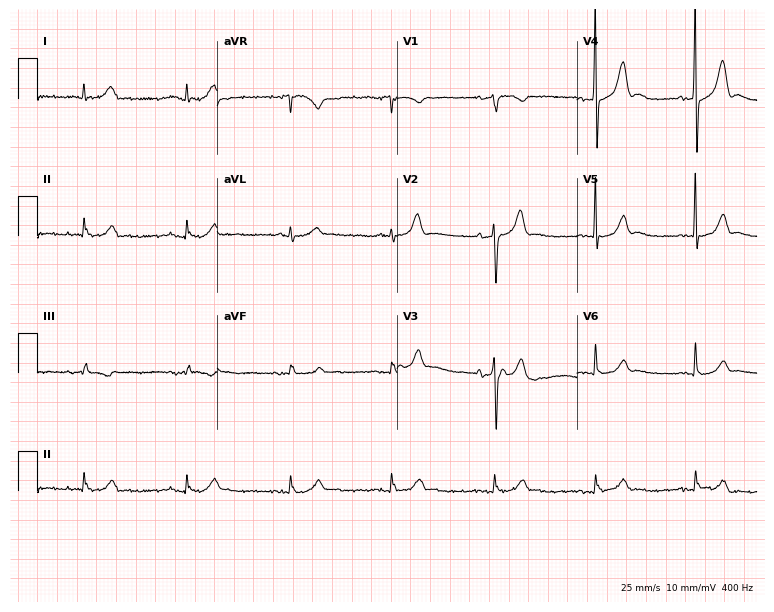
Electrocardiogram (7.3-second recording at 400 Hz), a male patient, 72 years old. Of the six screened findings (first-degree AV block, right bundle branch block, left bundle branch block, sinus bradycardia, atrial fibrillation, sinus tachycardia), none is recorded.